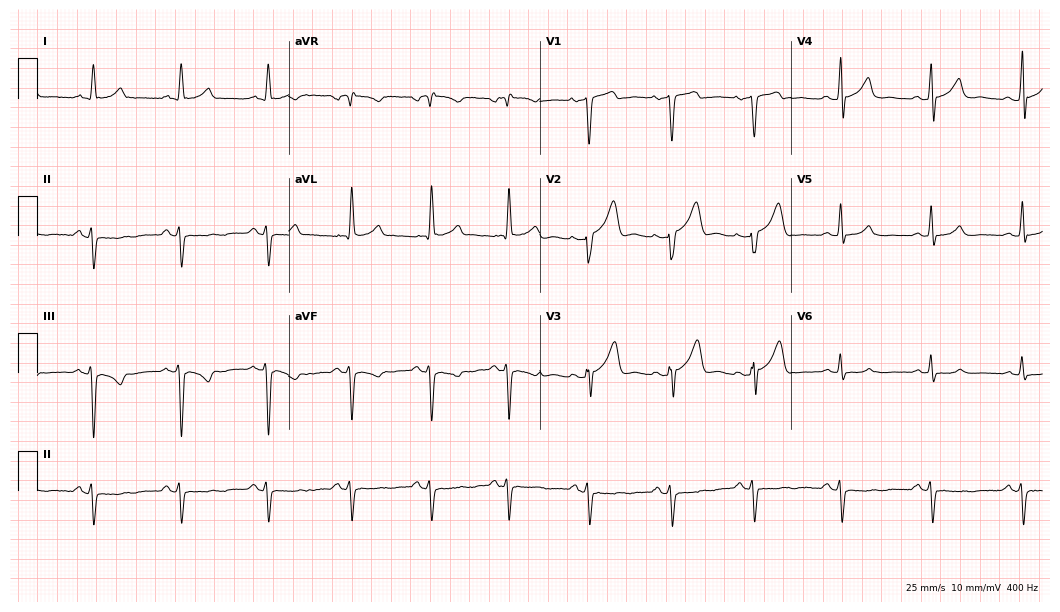
Electrocardiogram (10.2-second recording at 400 Hz), a male, 71 years old. Of the six screened findings (first-degree AV block, right bundle branch block (RBBB), left bundle branch block (LBBB), sinus bradycardia, atrial fibrillation (AF), sinus tachycardia), none is recorded. Findings outside these six are not listed.